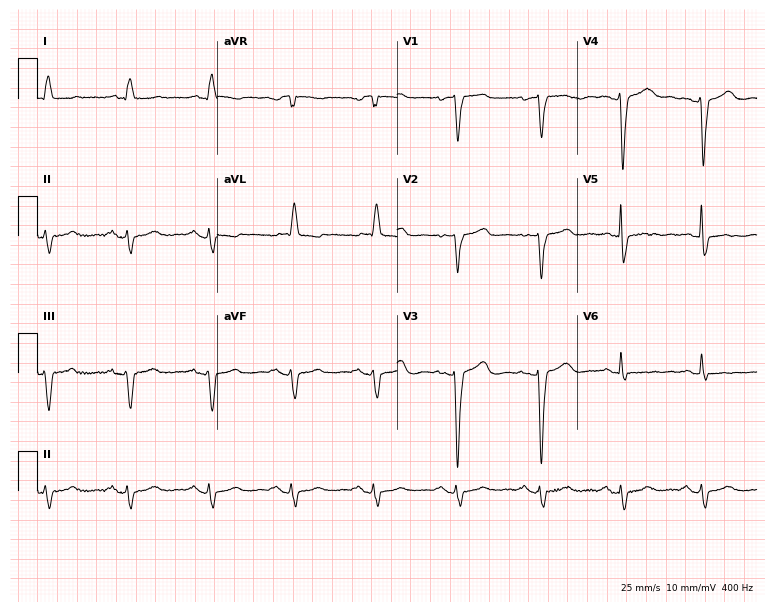
Electrocardiogram (7.3-second recording at 400 Hz), a 72-year-old woman. Overall reading on record: normal ECG.